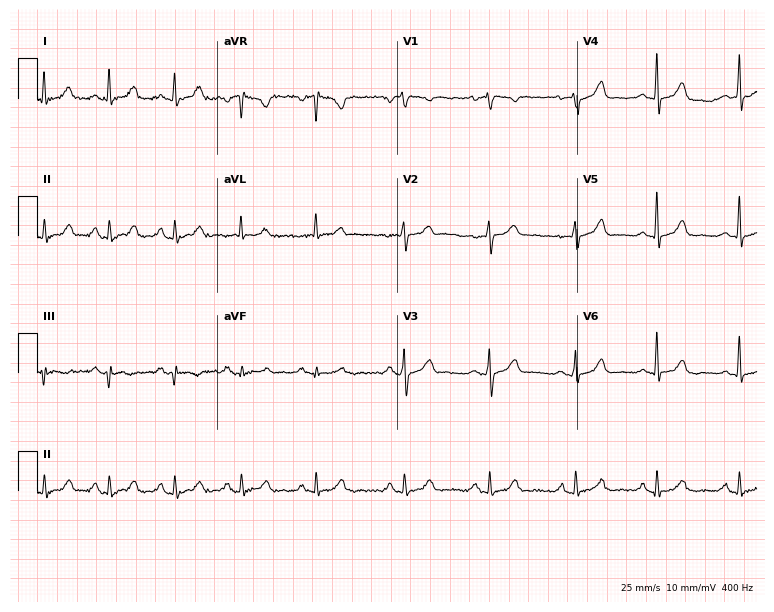
Electrocardiogram (7.3-second recording at 400 Hz), a female patient, 49 years old. Overall reading on record: normal ECG.